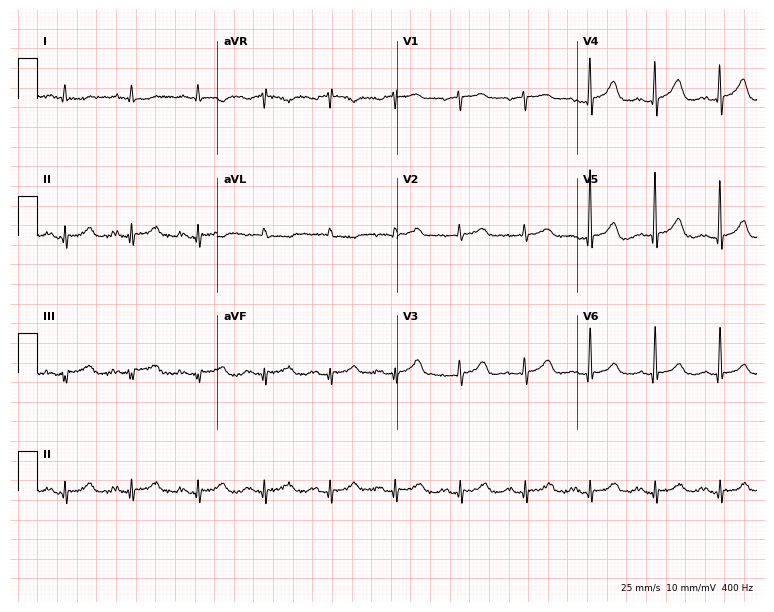
12-lead ECG from a man, 75 years old. Screened for six findings — first-degree AV block, right bundle branch block, left bundle branch block, sinus bradycardia, atrial fibrillation, sinus tachycardia — none is recorded.